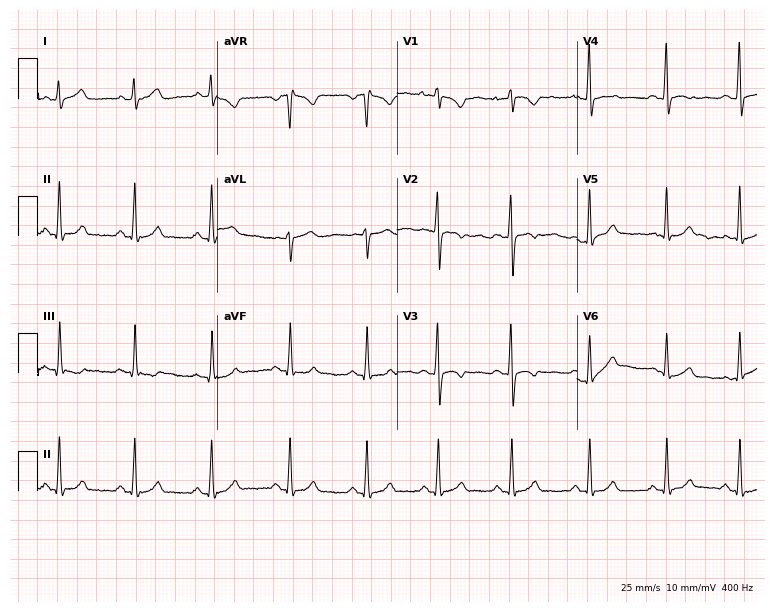
Standard 12-lead ECG recorded from a female, 25 years old. Read as a normal ECG.